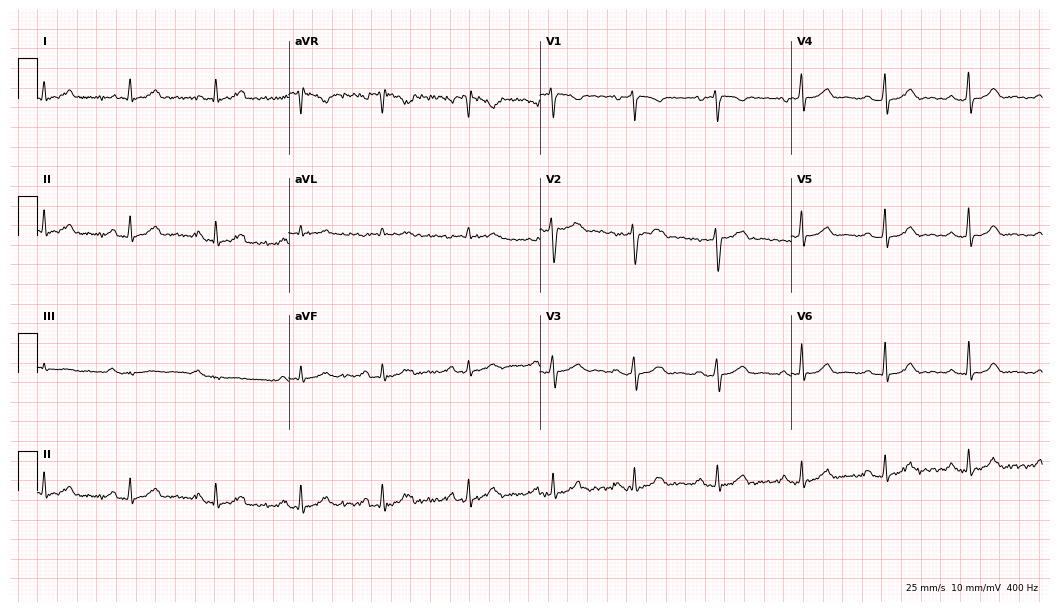
12-lead ECG from a female patient, 41 years old (10.2-second recording at 400 Hz). Recorded interpretation: within normal limits.